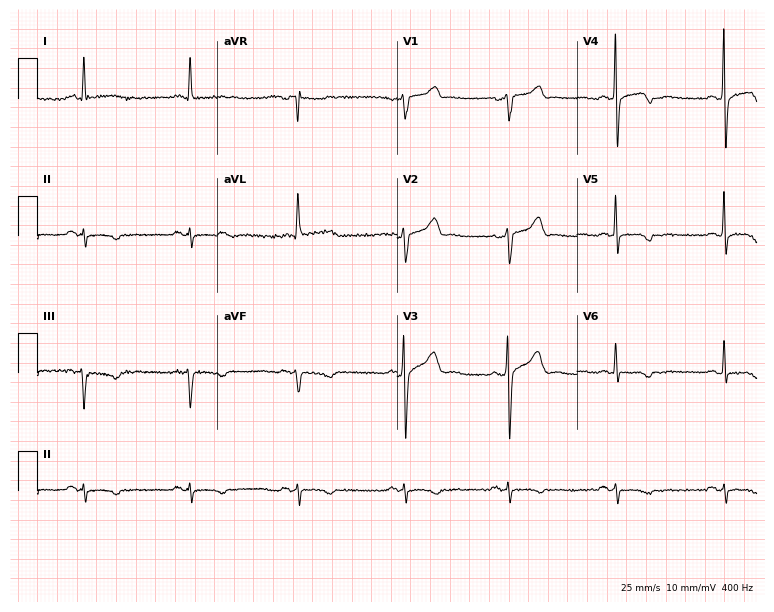
12-lead ECG from a male patient, 59 years old. No first-degree AV block, right bundle branch block (RBBB), left bundle branch block (LBBB), sinus bradycardia, atrial fibrillation (AF) or sinus tachycardia recorded for this tracing. Other findings, if any, are not listed.